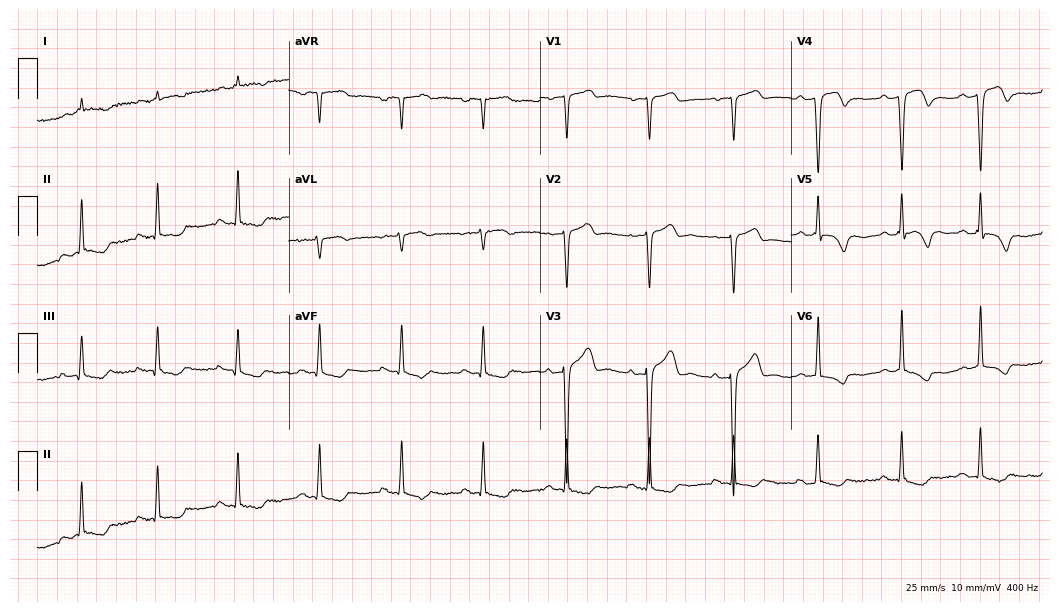
12-lead ECG from a 65-year-old man (10.2-second recording at 400 Hz). Recorded interpretation: within normal limits.